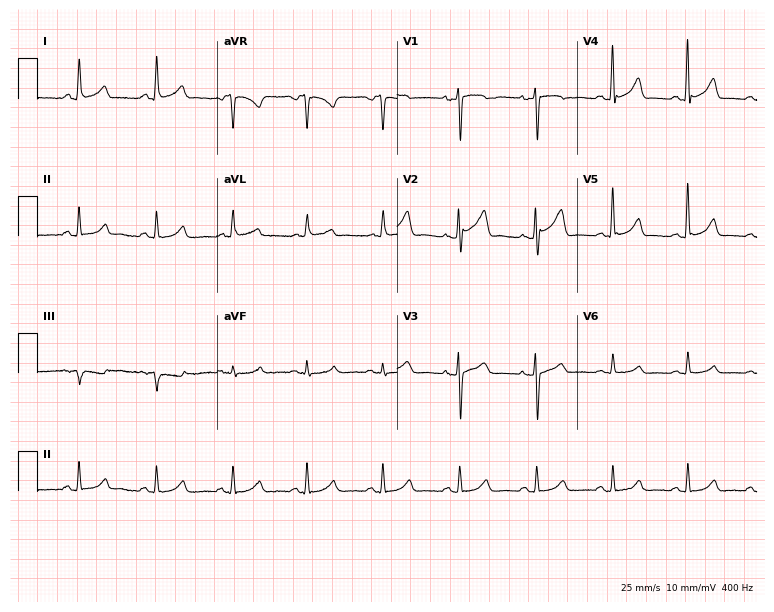
Resting 12-lead electrocardiogram. Patient: a 57-year-old woman. Read as a normal ECG.